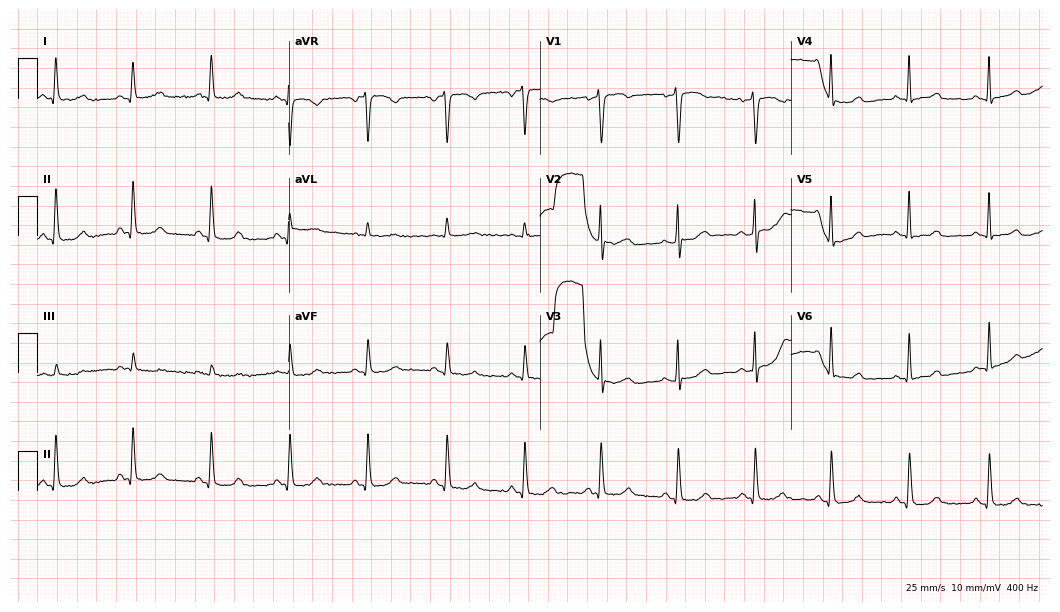
ECG (10.2-second recording at 400 Hz) — a woman, 55 years old. Screened for six findings — first-degree AV block, right bundle branch block (RBBB), left bundle branch block (LBBB), sinus bradycardia, atrial fibrillation (AF), sinus tachycardia — none is recorded. Only these six findings were labelled.